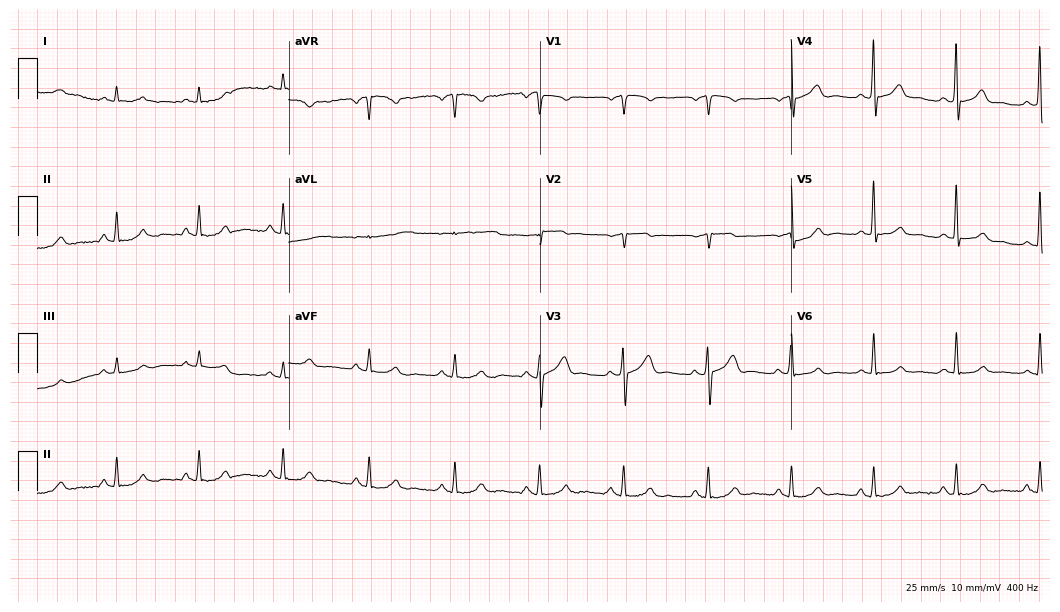
Resting 12-lead electrocardiogram. Patient: a 53-year-old man. Read as a normal ECG.